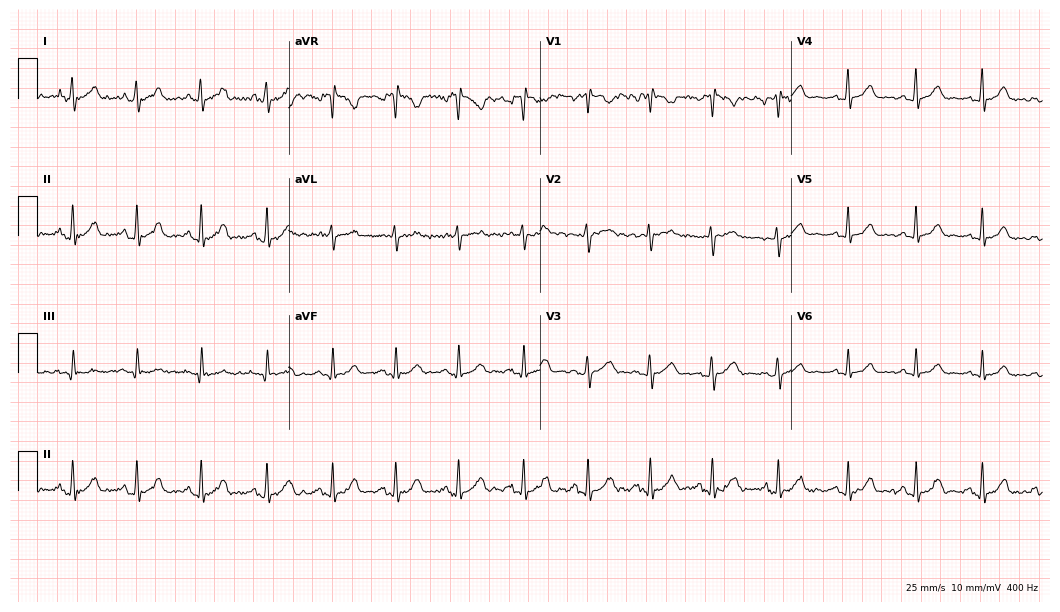
Electrocardiogram, a 30-year-old female patient. Of the six screened findings (first-degree AV block, right bundle branch block (RBBB), left bundle branch block (LBBB), sinus bradycardia, atrial fibrillation (AF), sinus tachycardia), none is recorded.